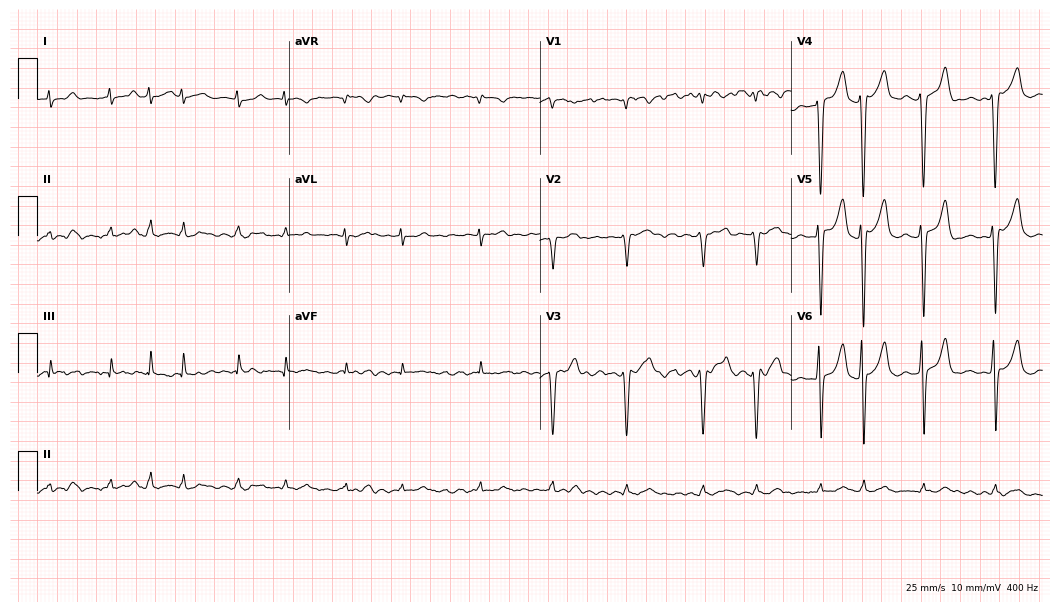
Resting 12-lead electrocardiogram. Patient: a 79-year-old male. The tracing shows atrial fibrillation (AF).